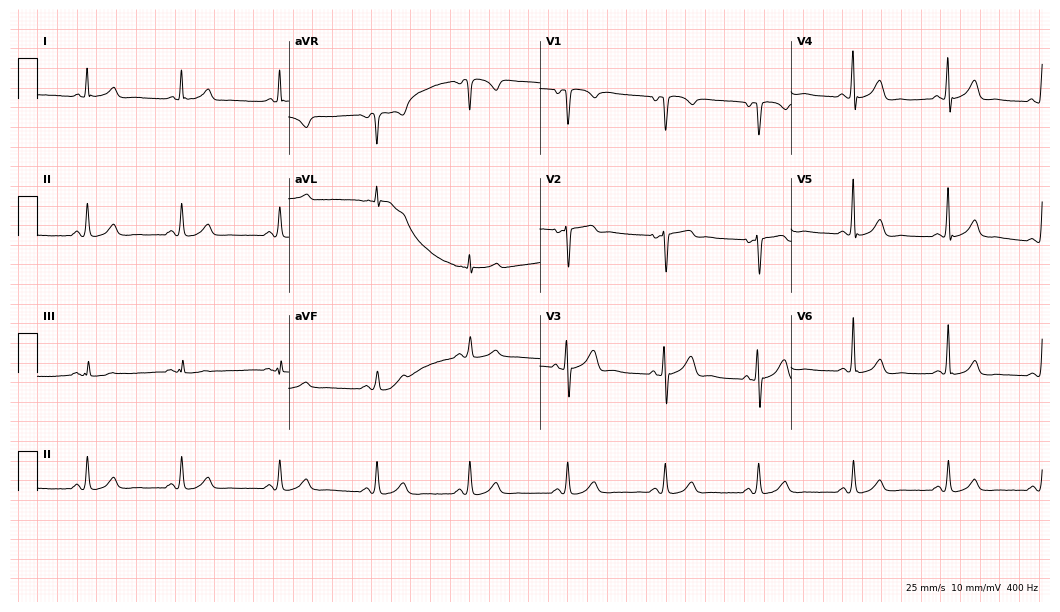
12-lead ECG (10.2-second recording at 400 Hz) from a 74-year-old male patient. Labelled as a normal ECG.